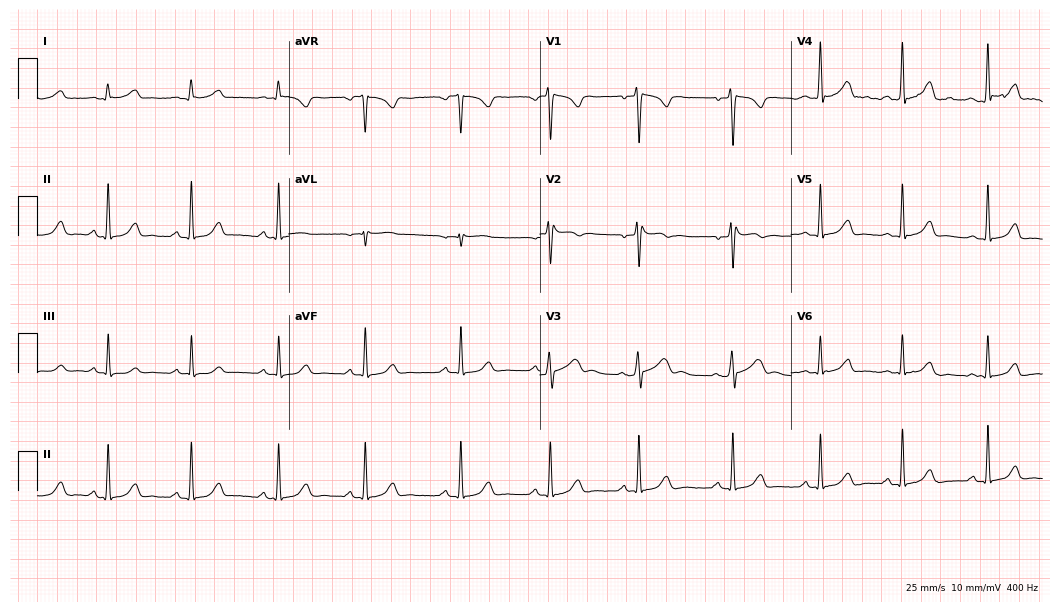
ECG (10.2-second recording at 400 Hz) — a female, 26 years old. Labelled as a normal ECG.